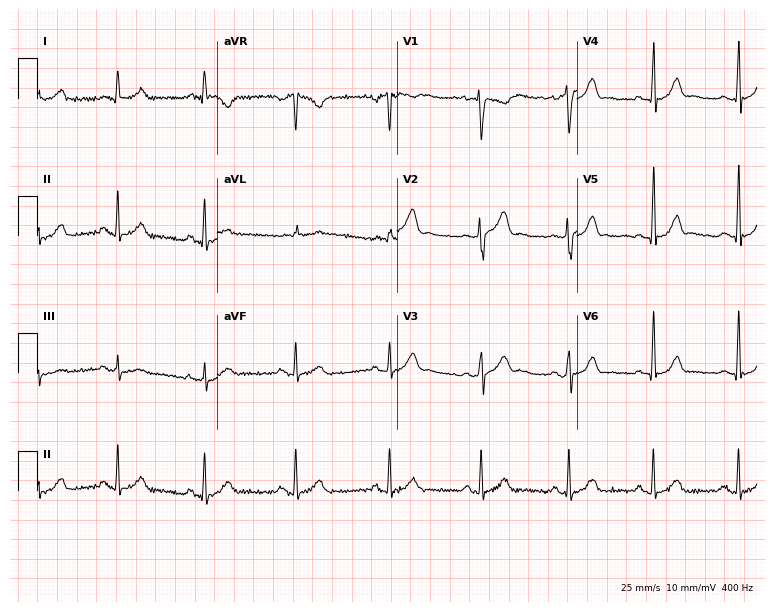
12-lead ECG (7.3-second recording at 400 Hz) from a male patient, 37 years old. Screened for six findings — first-degree AV block, right bundle branch block (RBBB), left bundle branch block (LBBB), sinus bradycardia, atrial fibrillation (AF), sinus tachycardia — none is recorded. Other findings, if any, are not listed.